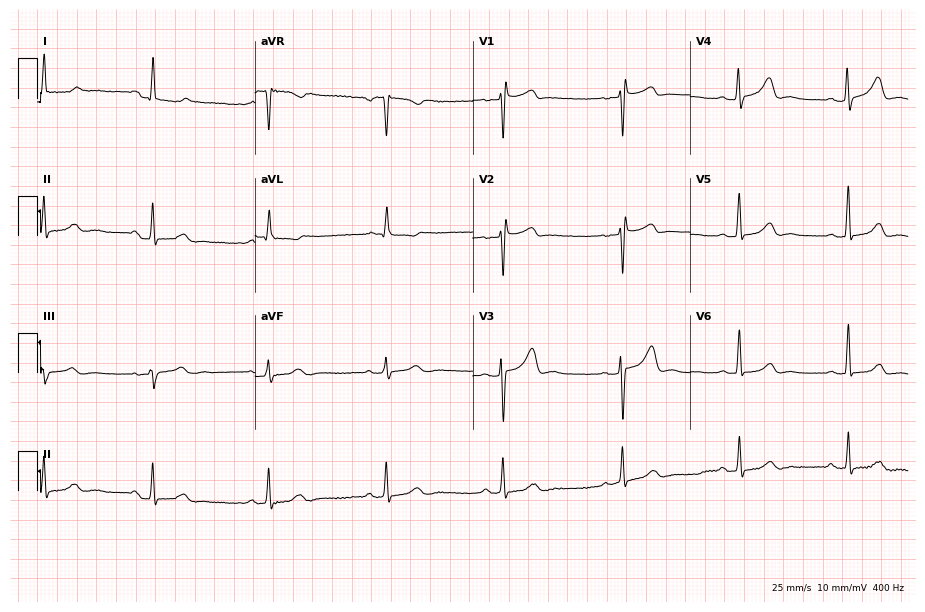
ECG — a 21-year-old female patient. Labelled as a normal ECG.